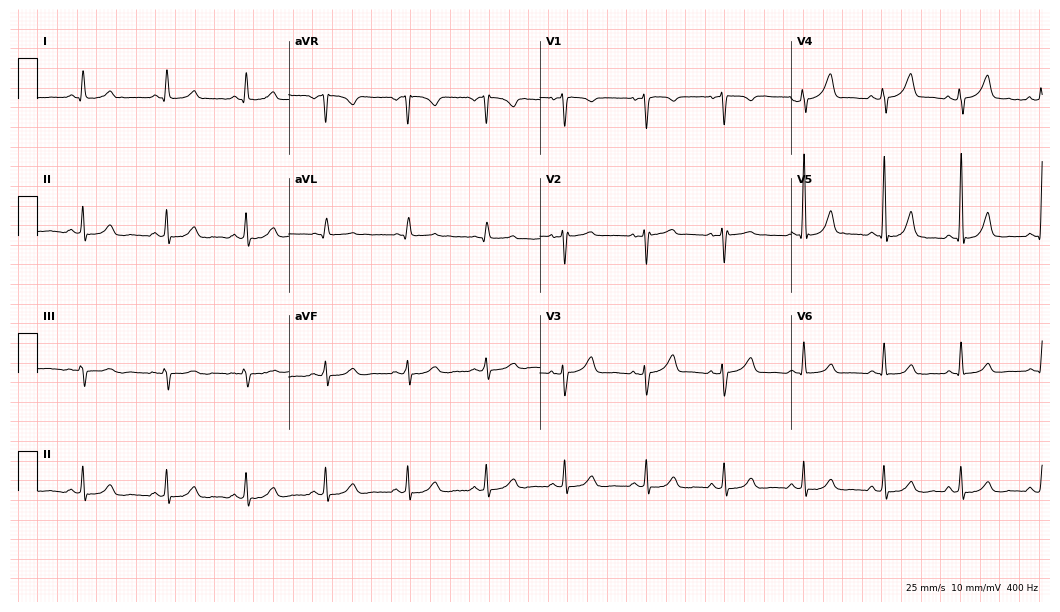
Standard 12-lead ECG recorded from a 50-year-old woman. Read as a normal ECG.